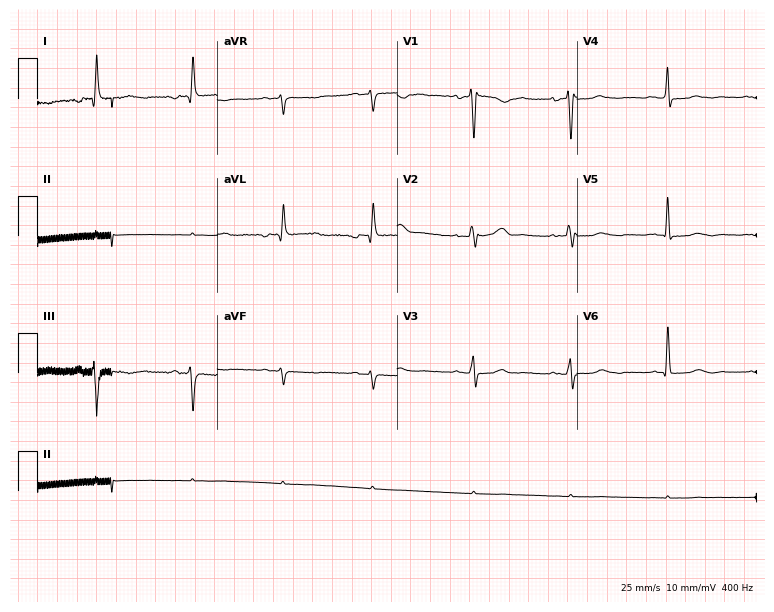
Resting 12-lead electrocardiogram (7.3-second recording at 400 Hz). Patient: a female, 74 years old. None of these six findings is recorded: first-degree AV block, right bundle branch block, left bundle branch block, sinus bradycardia, atrial fibrillation, sinus tachycardia. Findings outside these six are not listed.